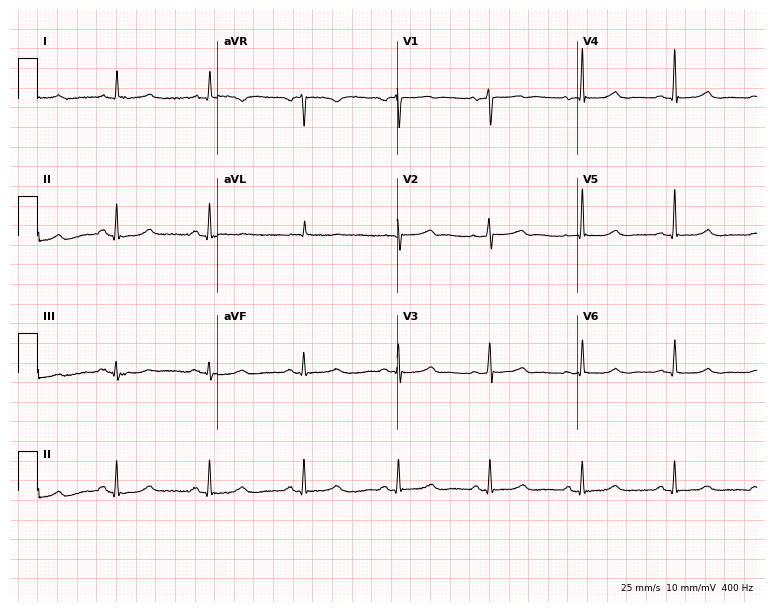
12-lead ECG from a woman, 67 years old. Recorded interpretation: within normal limits.